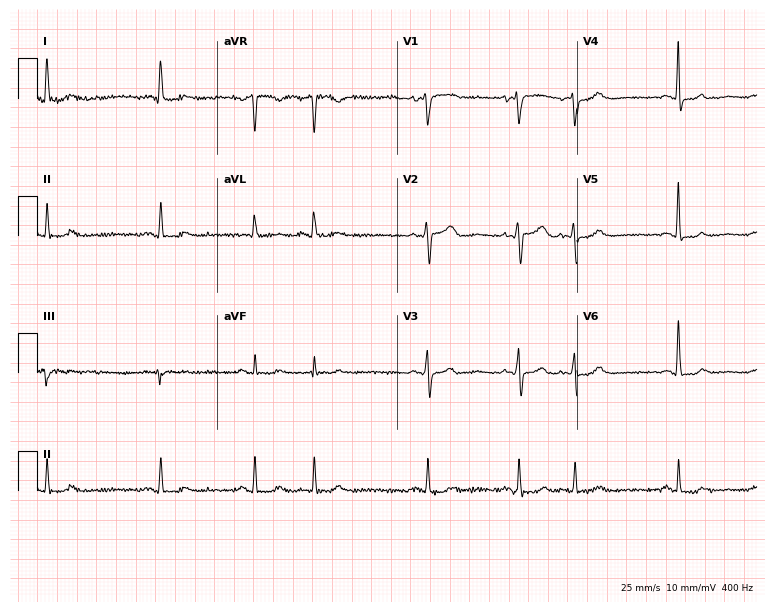
12-lead ECG (7.3-second recording at 400 Hz) from a female patient, 69 years old. Screened for six findings — first-degree AV block, right bundle branch block, left bundle branch block, sinus bradycardia, atrial fibrillation, sinus tachycardia — none is recorded. Only these six findings were labelled.